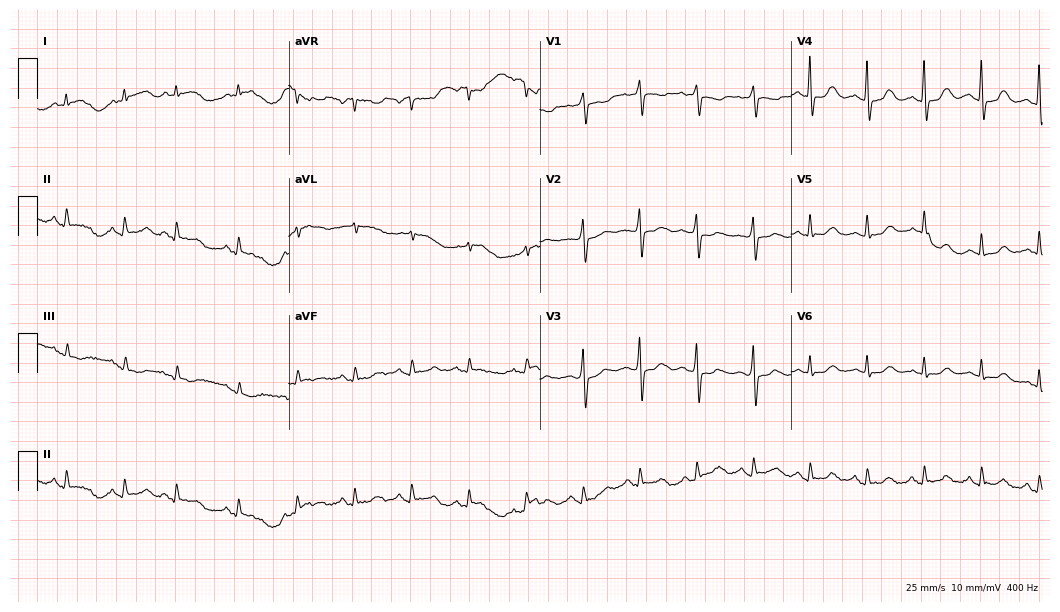
Resting 12-lead electrocardiogram (10.2-second recording at 400 Hz). Patient: a 69-year-old female. The tracing shows atrial fibrillation, sinus tachycardia (a sinus rate of 100 beats per minute or more).